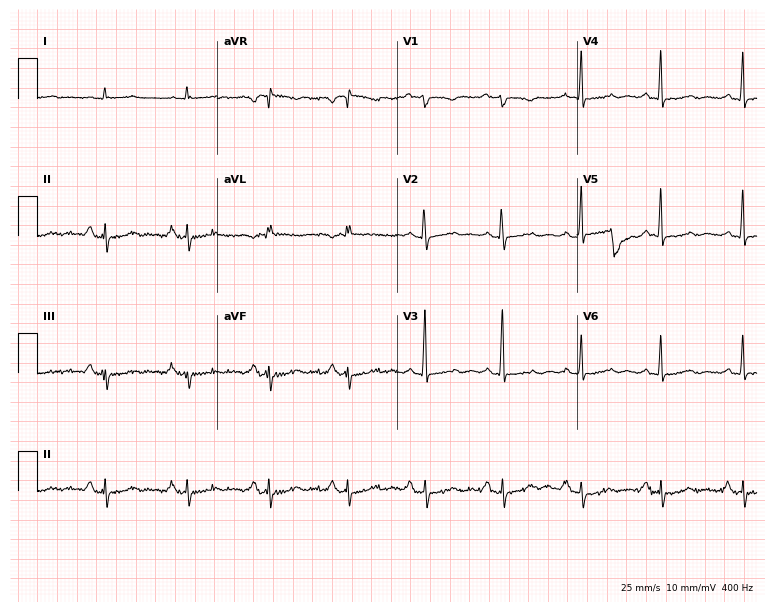
Electrocardiogram (7.3-second recording at 400 Hz), a female, 47 years old. Of the six screened findings (first-degree AV block, right bundle branch block, left bundle branch block, sinus bradycardia, atrial fibrillation, sinus tachycardia), none is recorded.